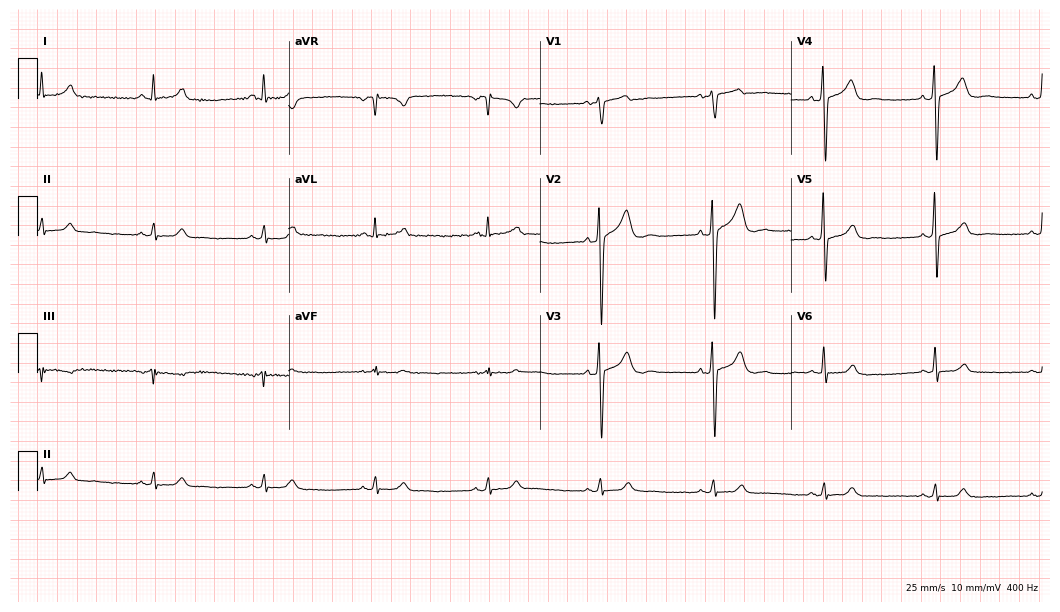
12-lead ECG from a male, 52 years old (10.2-second recording at 400 Hz). Recorded interpretation: within normal limits.